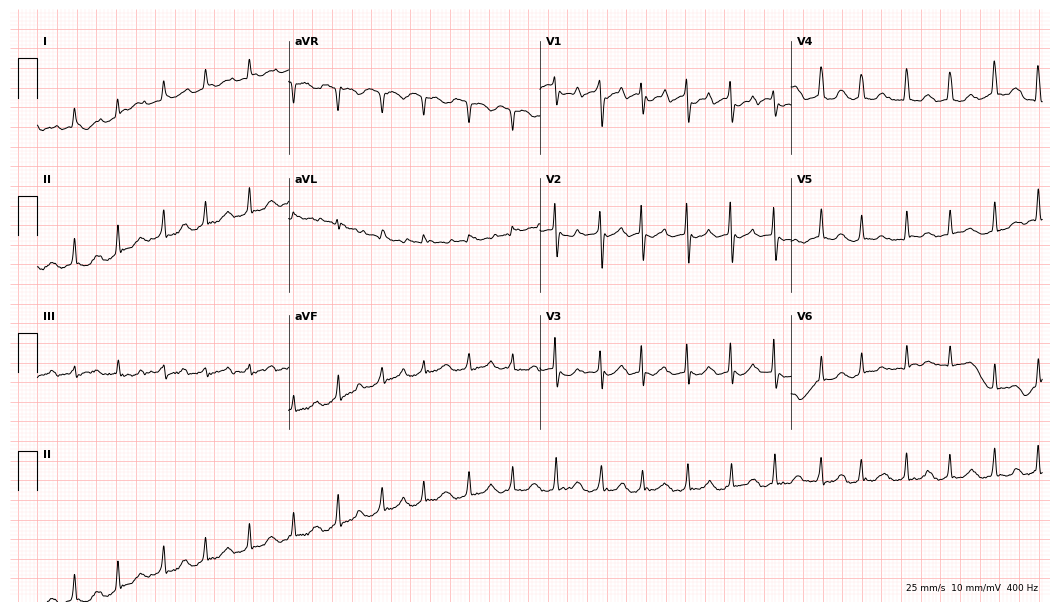
Resting 12-lead electrocardiogram. Patient: a 51-year-old female. The tracing shows sinus tachycardia (a sinus rate of 100 beats per minute or more).